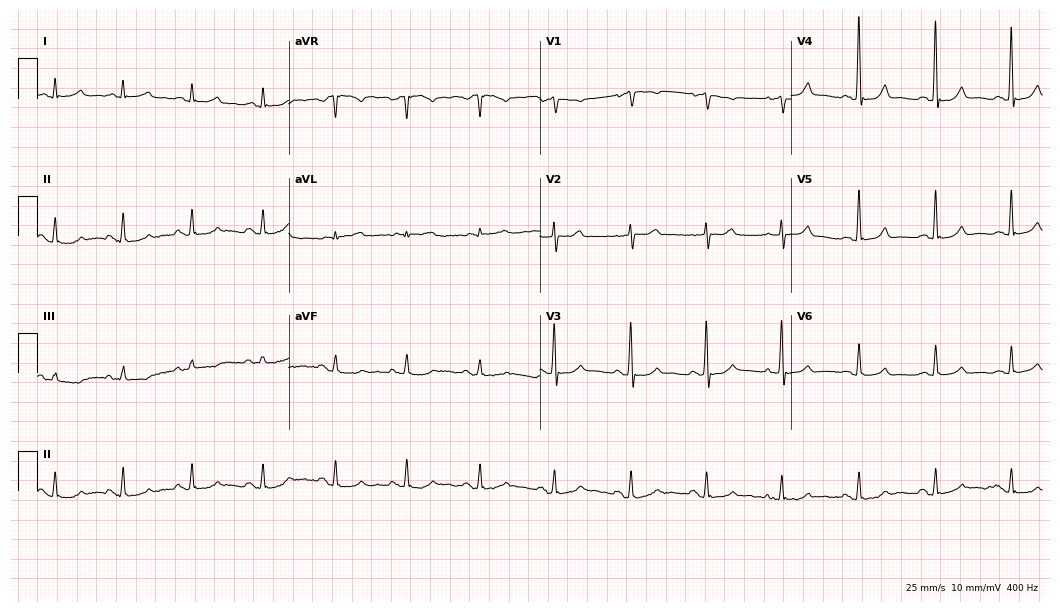
Electrocardiogram, a 76-year-old woman. Of the six screened findings (first-degree AV block, right bundle branch block, left bundle branch block, sinus bradycardia, atrial fibrillation, sinus tachycardia), none is recorded. Only these six findings were labelled.